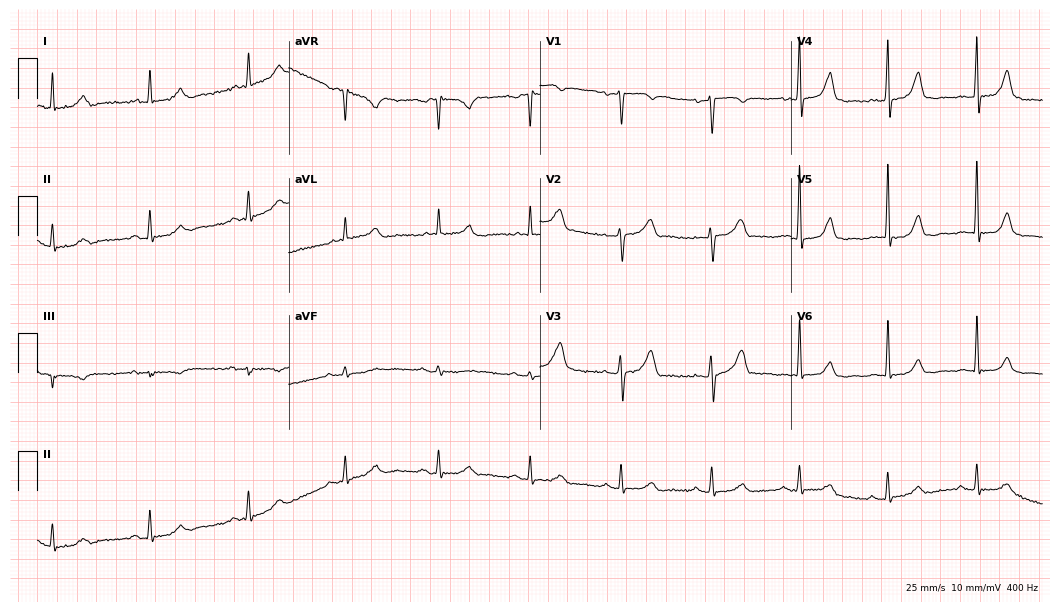
12-lead ECG from a 71-year-old male. Labelled as a normal ECG.